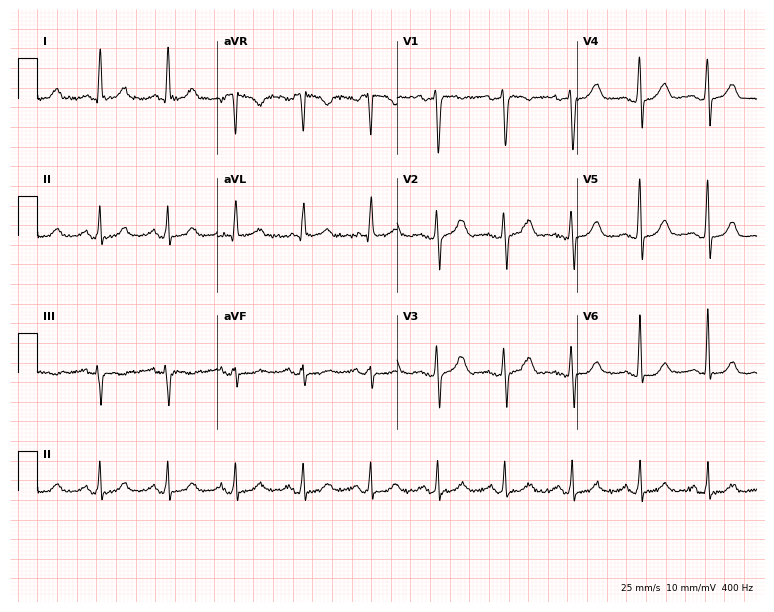
12-lead ECG from a 61-year-old female. Screened for six findings — first-degree AV block, right bundle branch block (RBBB), left bundle branch block (LBBB), sinus bradycardia, atrial fibrillation (AF), sinus tachycardia — none is recorded. Only these six findings were labelled.